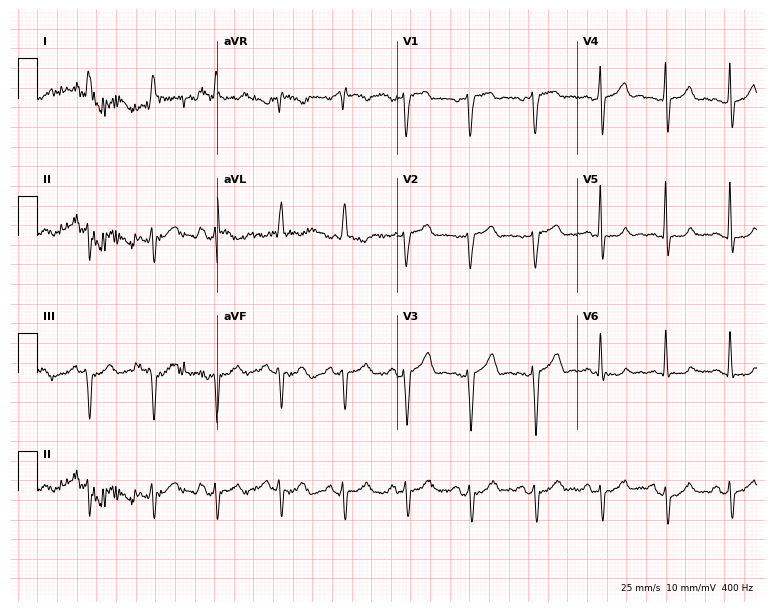
ECG — a 77-year-old male patient. Screened for six findings — first-degree AV block, right bundle branch block (RBBB), left bundle branch block (LBBB), sinus bradycardia, atrial fibrillation (AF), sinus tachycardia — none is recorded.